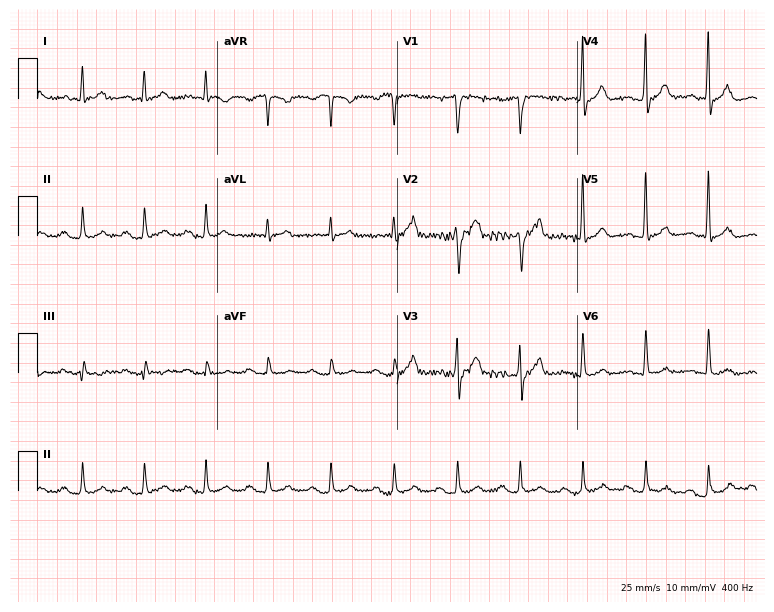
Electrocardiogram, a 55-year-old male. Interpretation includes first-degree AV block.